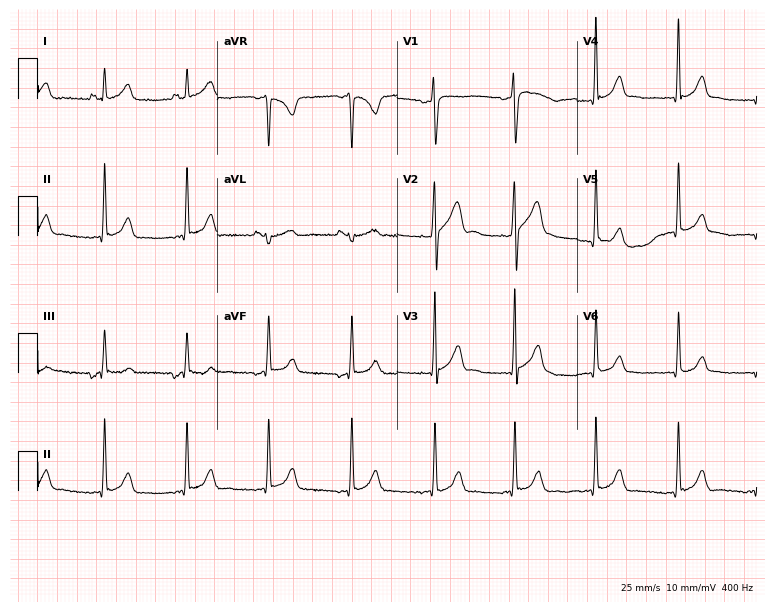
ECG — a 21-year-old male. Labelled as a normal ECG.